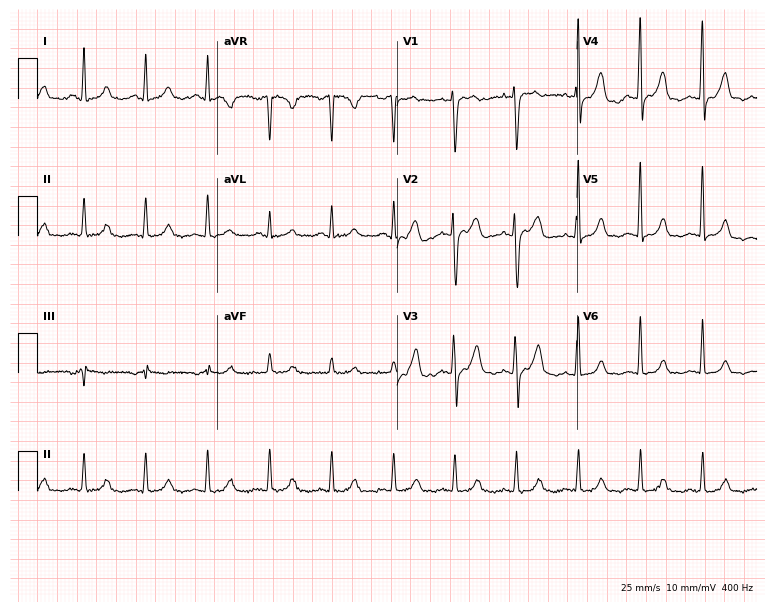
12-lead ECG (7.3-second recording at 400 Hz) from a 42-year-old female patient. Screened for six findings — first-degree AV block, right bundle branch block (RBBB), left bundle branch block (LBBB), sinus bradycardia, atrial fibrillation (AF), sinus tachycardia — none is recorded. Only these six findings were labelled.